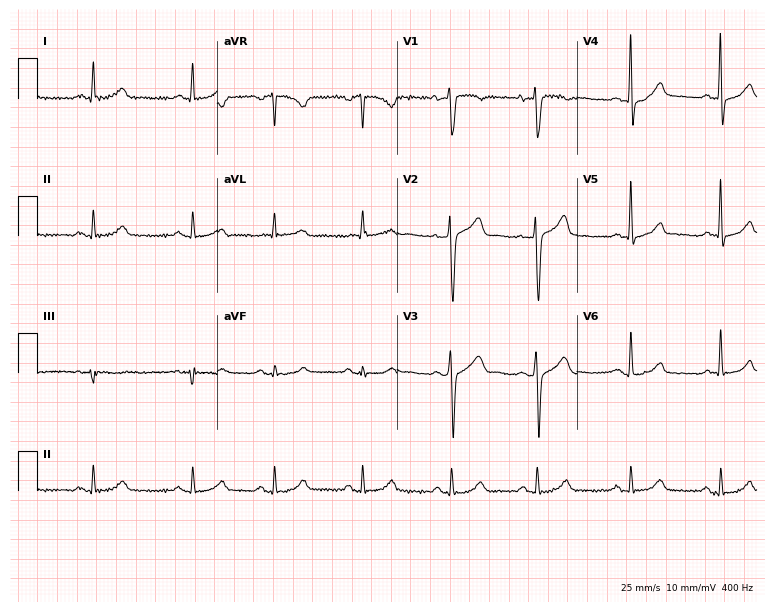
ECG (7.3-second recording at 400 Hz) — a man, 61 years old. Labelled as a normal ECG.